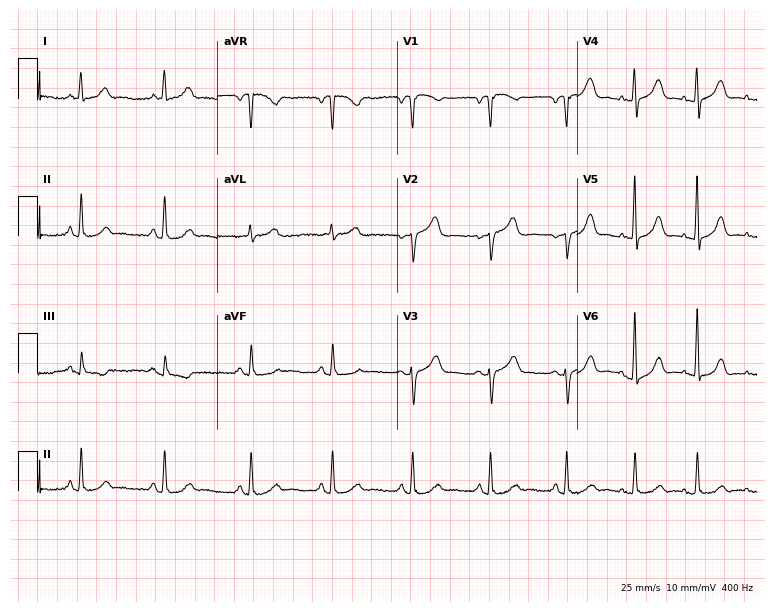
12-lead ECG from a 63-year-old female patient (7.3-second recording at 400 Hz). Recorded interpretation: within normal limits.